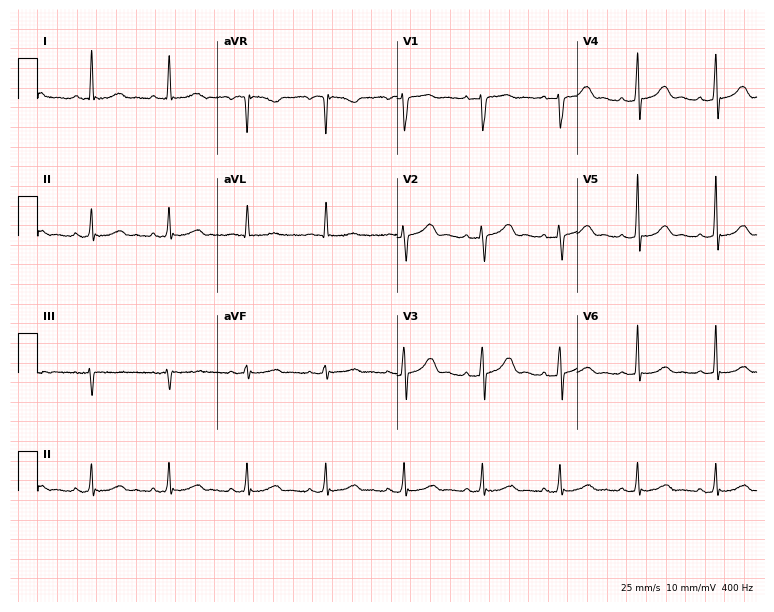
12-lead ECG from a woman, 56 years old (7.3-second recording at 400 Hz). No first-degree AV block, right bundle branch block (RBBB), left bundle branch block (LBBB), sinus bradycardia, atrial fibrillation (AF) or sinus tachycardia recorded for this tracing.